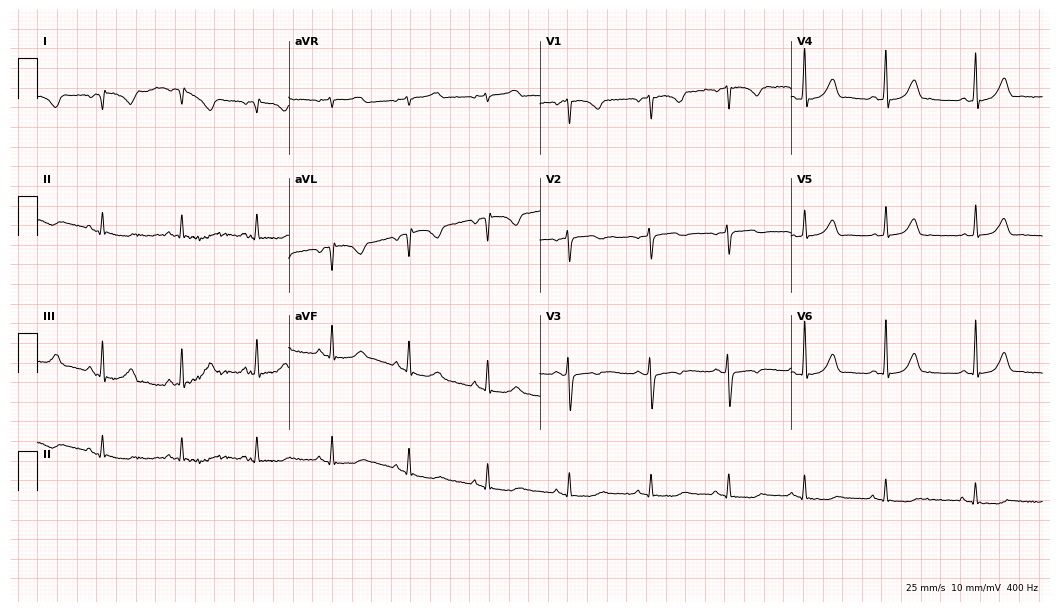
Electrocardiogram (10.2-second recording at 400 Hz), a 29-year-old woman. Of the six screened findings (first-degree AV block, right bundle branch block, left bundle branch block, sinus bradycardia, atrial fibrillation, sinus tachycardia), none is recorded. Findings outside these six are not listed.